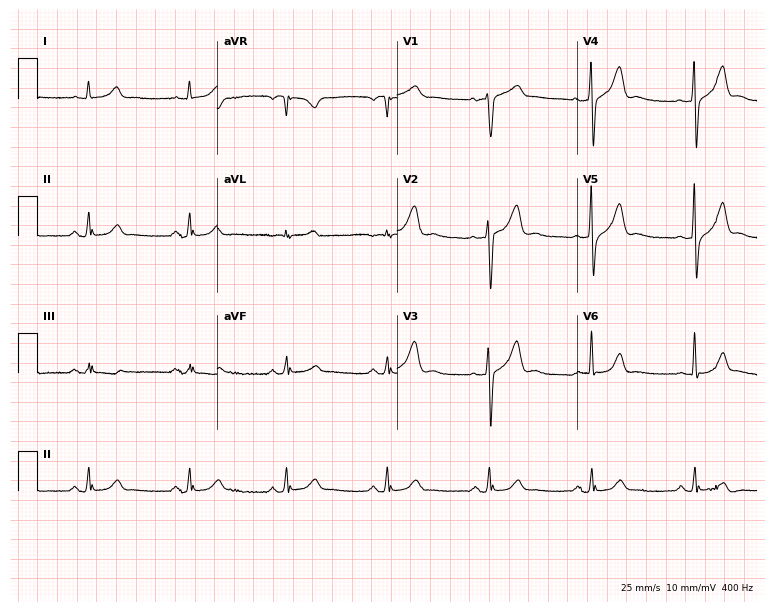
Resting 12-lead electrocardiogram. Patient: a 66-year-old male. Read as a normal ECG.